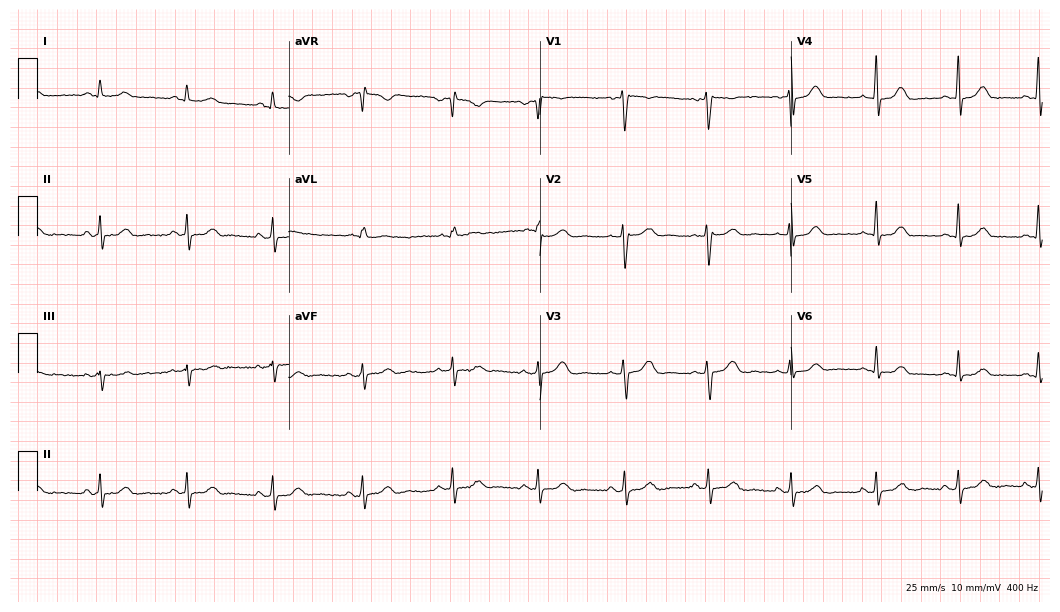
Standard 12-lead ECG recorded from a woman, 42 years old. Read as a normal ECG.